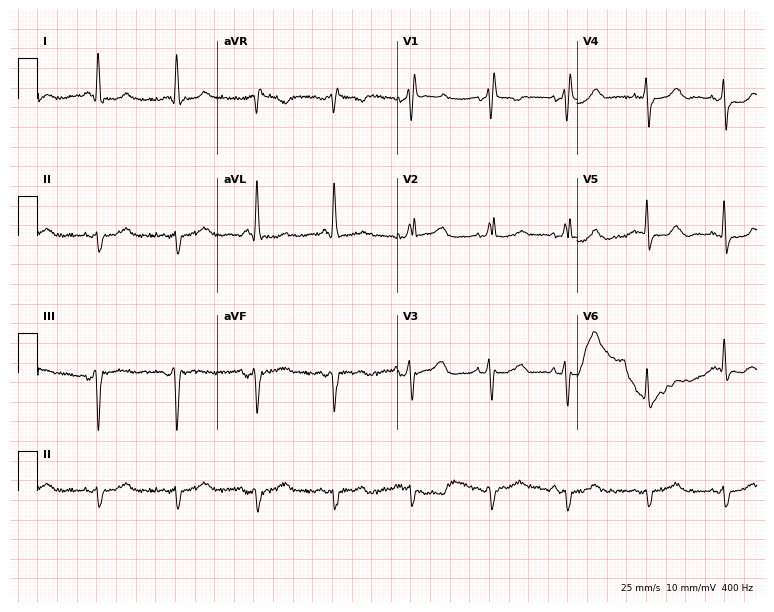
ECG — a female patient, 62 years old. Findings include right bundle branch block (RBBB).